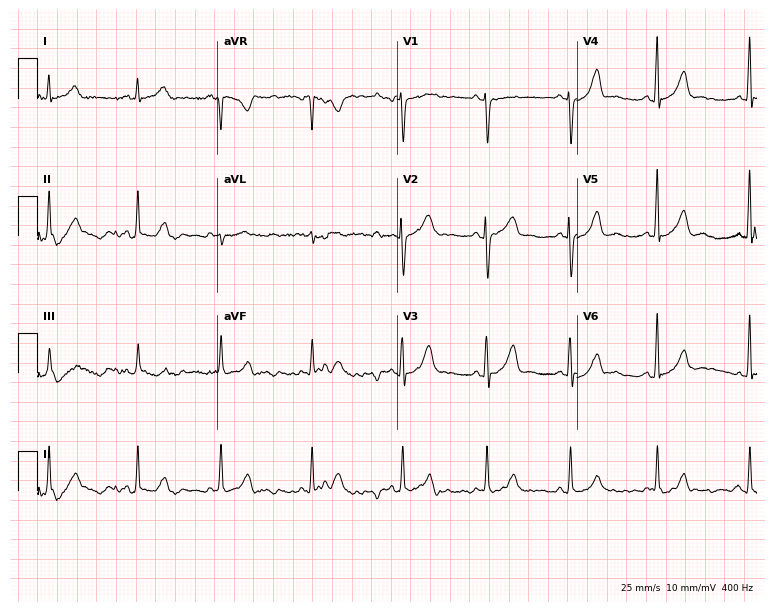
12-lead ECG from a 34-year-old female patient (7.3-second recording at 400 Hz). No first-degree AV block, right bundle branch block (RBBB), left bundle branch block (LBBB), sinus bradycardia, atrial fibrillation (AF) or sinus tachycardia recorded for this tracing. Only these six findings were labelled.